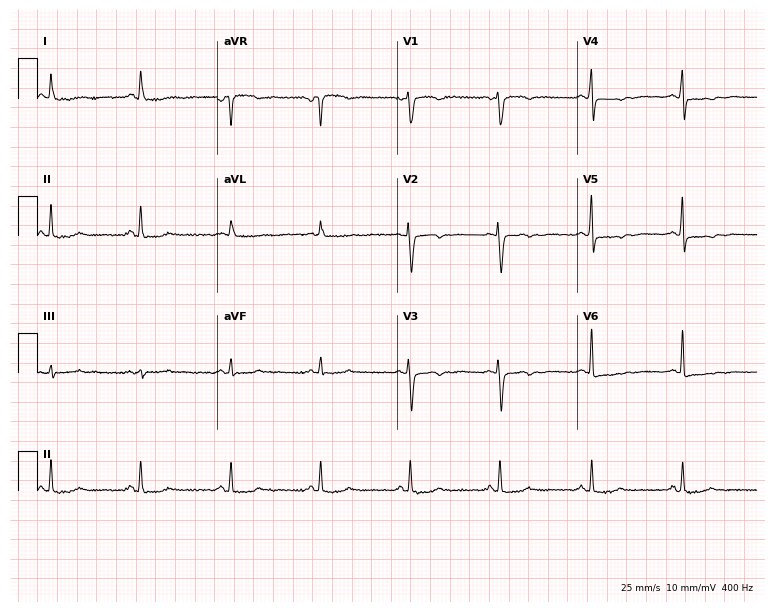
Standard 12-lead ECG recorded from a female, 50 years old (7.3-second recording at 400 Hz). None of these six findings is recorded: first-degree AV block, right bundle branch block, left bundle branch block, sinus bradycardia, atrial fibrillation, sinus tachycardia. Only these six findings were labelled.